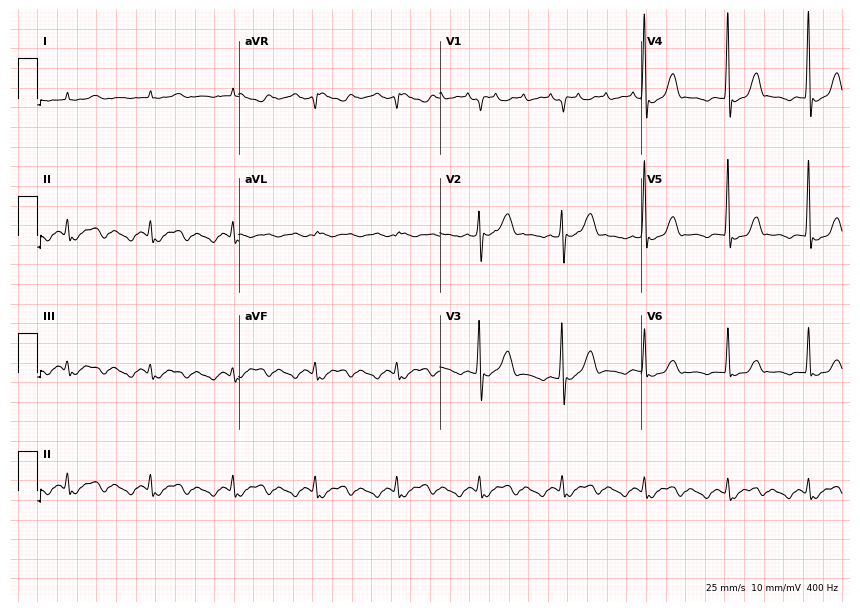
12-lead ECG (8.2-second recording at 400 Hz) from a woman, 74 years old. Screened for six findings — first-degree AV block, right bundle branch block, left bundle branch block, sinus bradycardia, atrial fibrillation, sinus tachycardia — none is recorded.